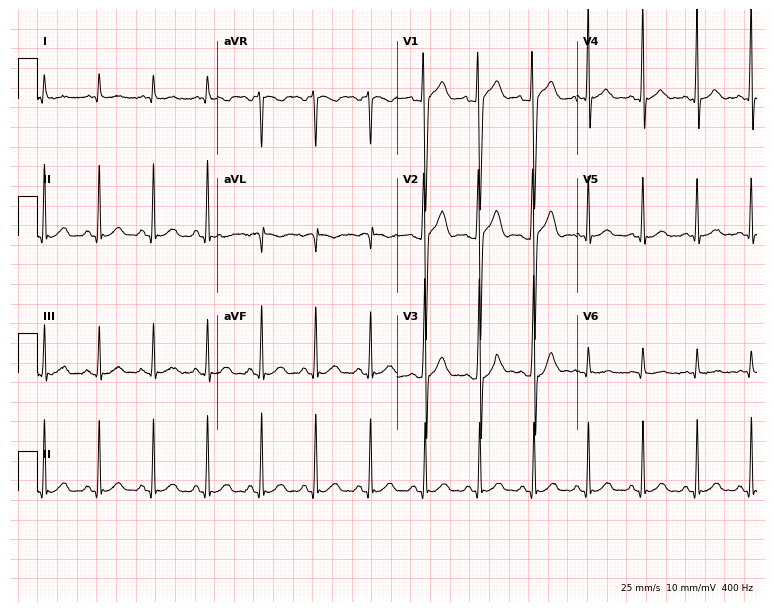
Electrocardiogram (7.3-second recording at 400 Hz), a 29-year-old male. Of the six screened findings (first-degree AV block, right bundle branch block (RBBB), left bundle branch block (LBBB), sinus bradycardia, atrial fibrillation (AF), sinus tachycardia), none is recorded.